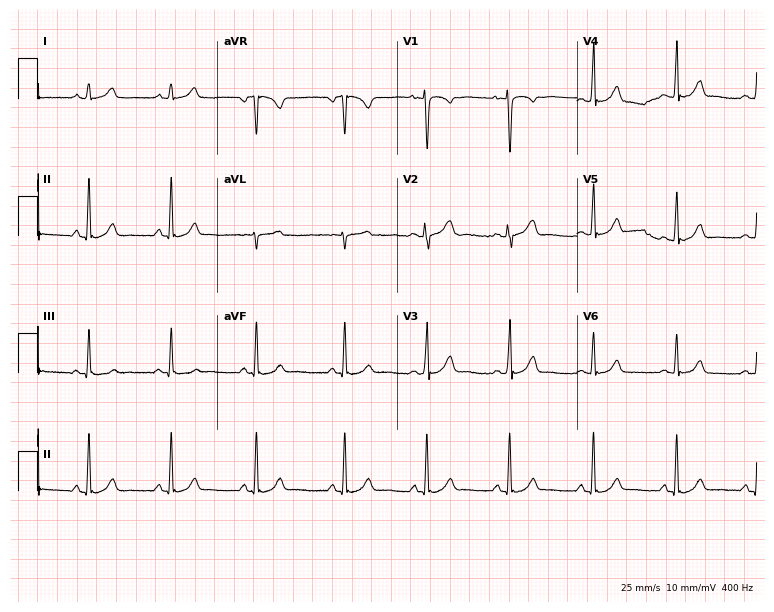
12-lead ECG from an 18-year-old woman. Recorded interpretation: within normal limits.